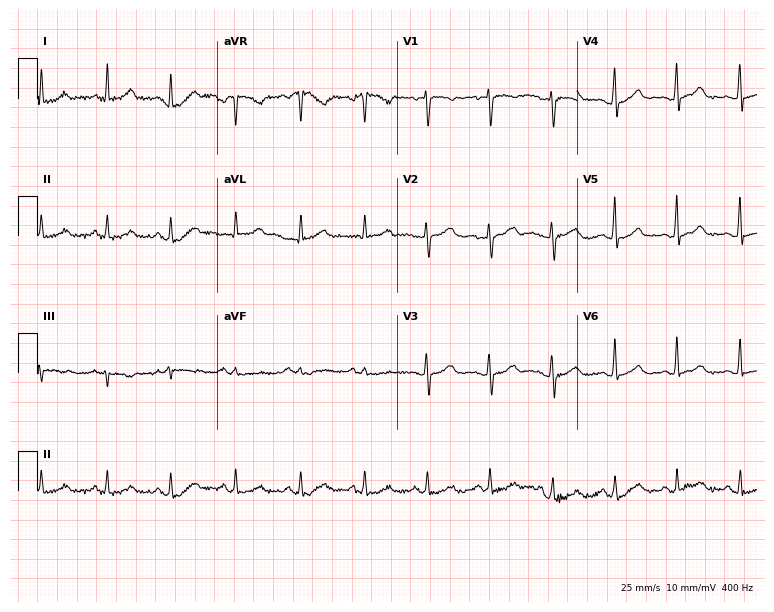
Resting 12-lead electrocardiogram (7.3-second recording at 400 Hz). Patient: a female, 47 years old. Read as a normal ECG.